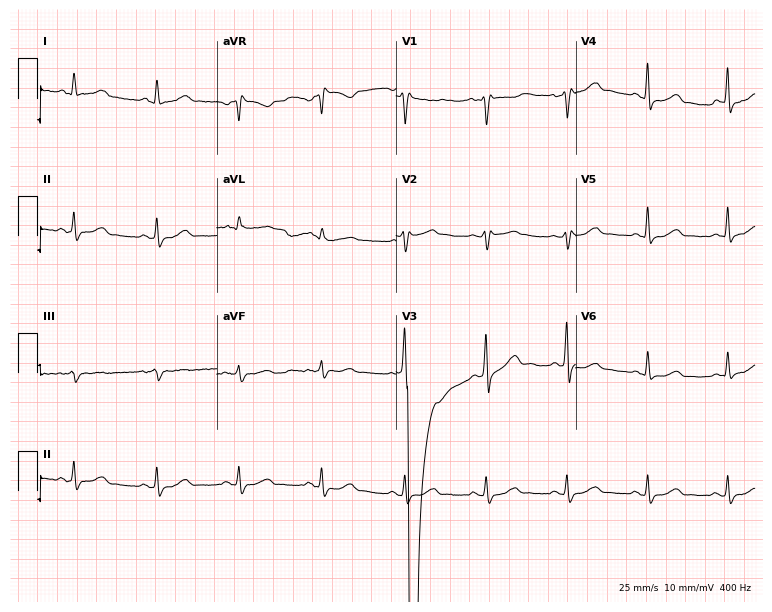
Electrocardiogram (7.3-second recording at 400 Hz), a 38-year-old man. Of the six screened findings (first-degree AV block, right bundle branch block (RBBB), left bundle branch block (LBBB), sinus bradycardia, atrial fibrillation (AF), sinus tachycardia), none is recorded. Only these six findings were labelled.